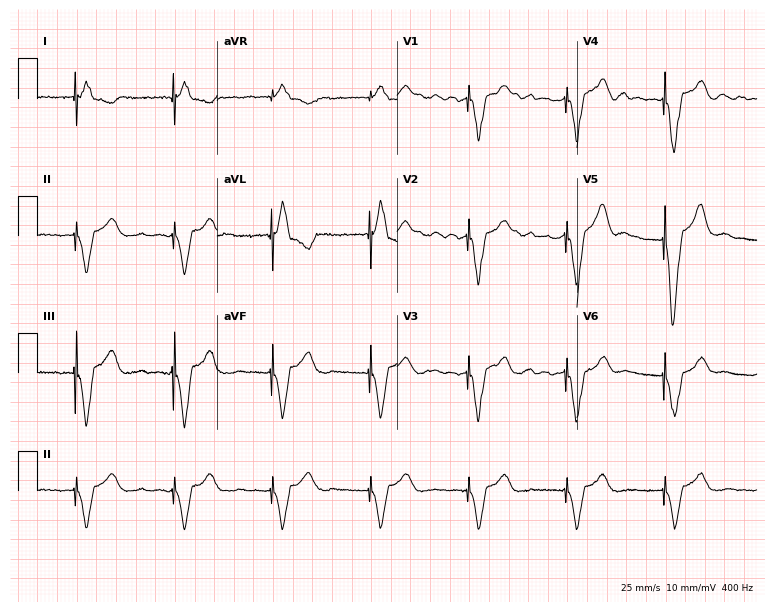
Electrocardiogram, a 69-year-old female. Of the six screened findings (first-degree AV block, right bundle branch block, left bundle branch block, sinus bradycardia, atrial fibrillation, sinus tachycardia), none is recorded. Findings outside these six are not listed.